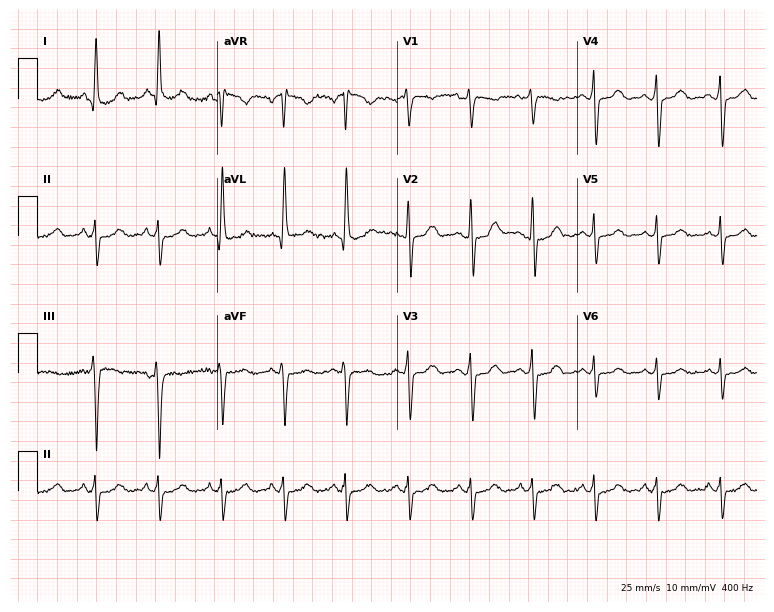
Standard 12-lead ECG recorded from a 49-year-old female patient (7.3-second recording at 400 Hz). None of these six findings is recorded: first-degree AV block, right bundle branch block (RBBB), left bundle branch block (LBBB), sinus bradycardia, atrial fibrillation (AF), sinus tachycardia. Other findings, if any, are not listed.